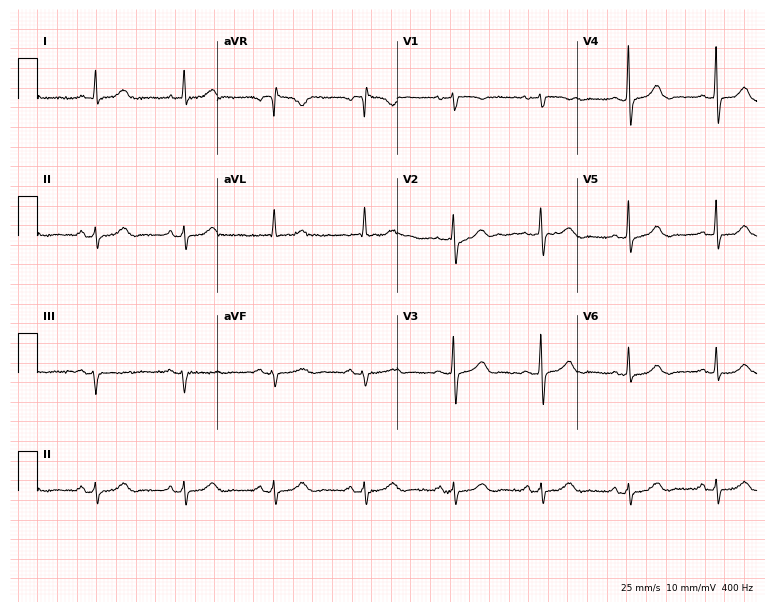
12-lead ECG (7.3-second recording at 400 Hz) from a 66-year-old woman. Screened for six findings — first-degree AV block, right bundle branch block, left bundle branch block, sinus bradycardia, atrial fibrillation, sinus tachycardia — none is recorded. Other findings, if any, are not listed.